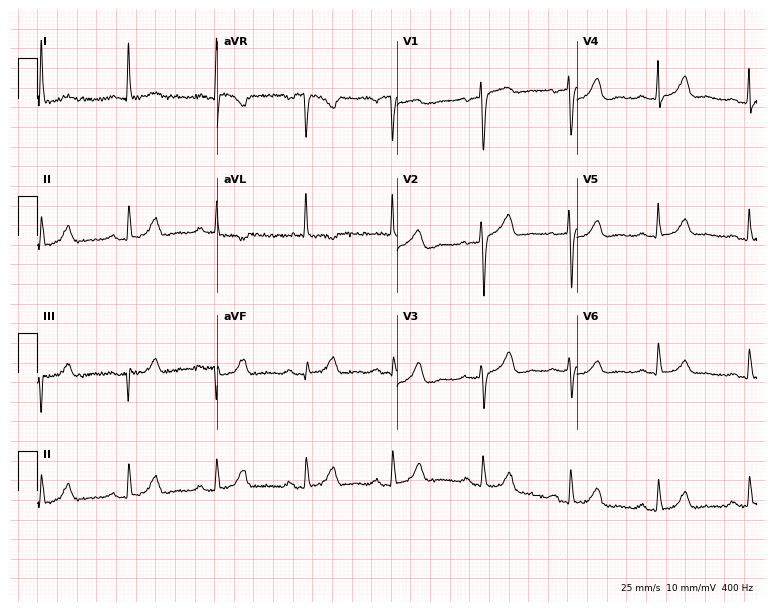
Resting 12-lead electrocardiogram. Patient: a 67-year-old female. Read as a normal ECG.